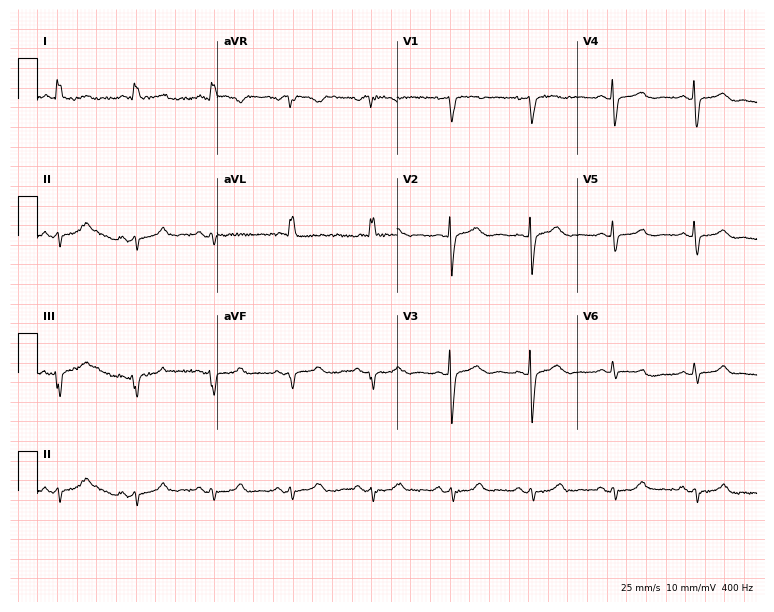
Standard 12-lead ECG recorded from a female, 69 years old. None of these six findings is recorded: first-degree AV block, right bundle branch block, left bundle branch block, sinus bradycardia, atrial fibrillation, sinus tachycardia.